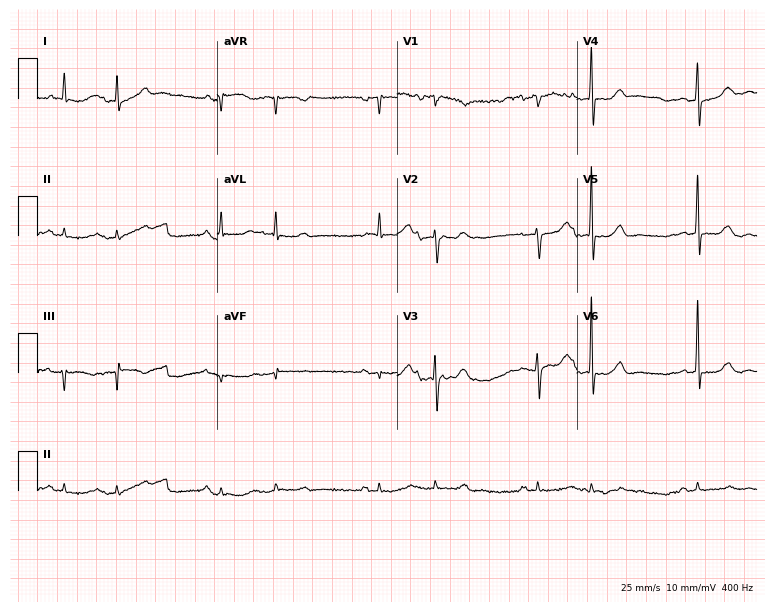
12-lead ECG from a male, 82 years old. No first-degree AV block, right bundle branch block, left bundle branch block, sinus bradycardia, atrial fibrillation or sinus tachycardia recorded for this tracing.